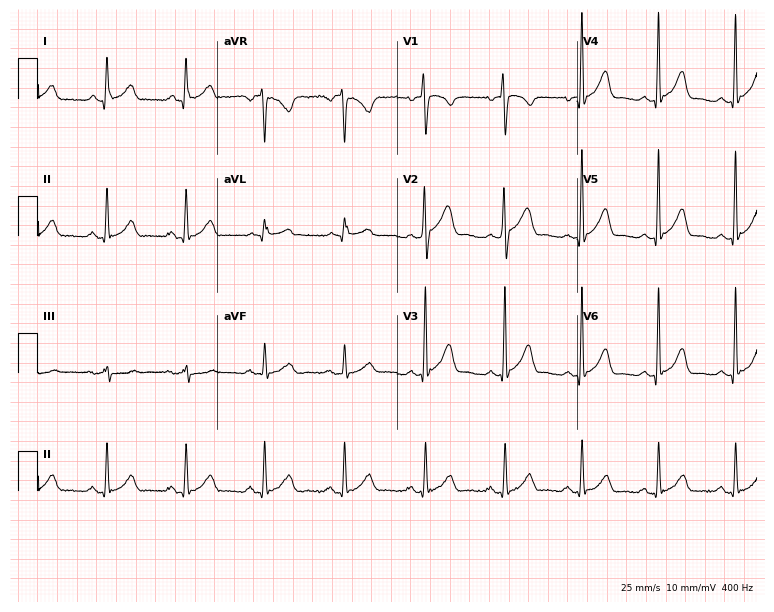
12-lead ECG from a male patient, 39 years old. Labelled as a normal ECG.